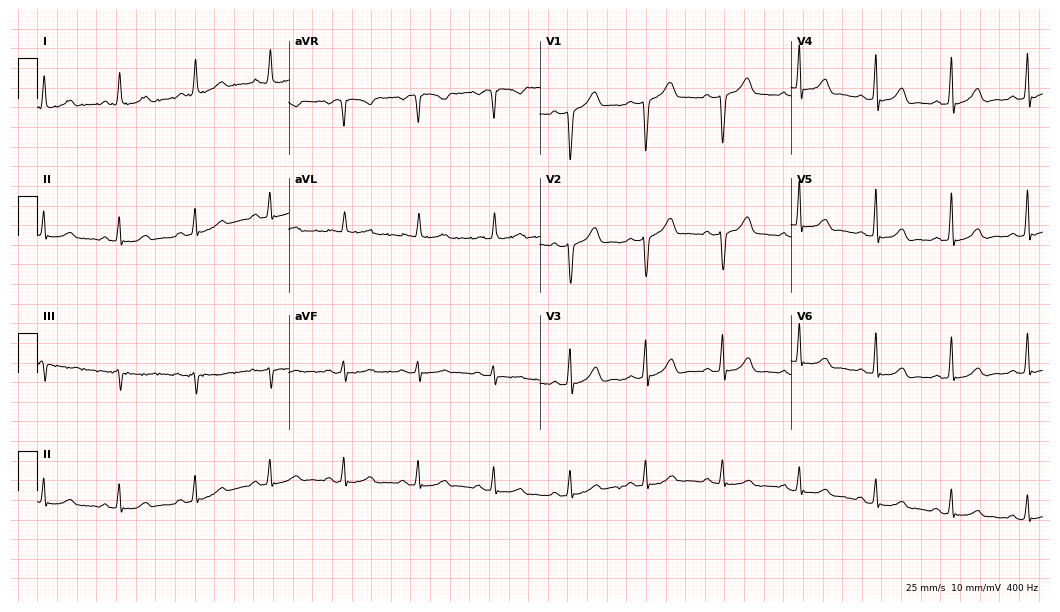
ECG — a man, 52 years old. Screened for six findings — first-degree AV block, right bundle branch block, left bundle branch block, sinus bradycardia, atrial fibrillation, sinus tachycardia — none is recorded.